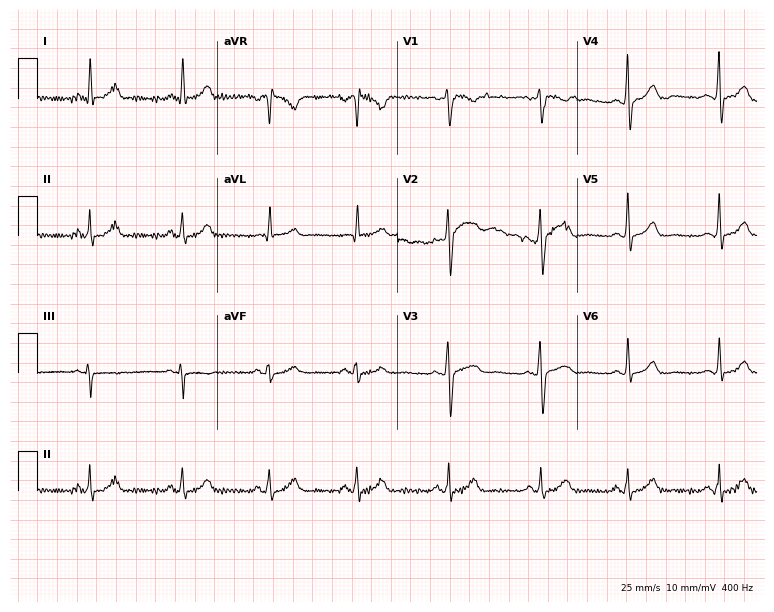
Resting 12-lead electrocardiogram. Patient: a woman, 38 years old. Read as a normal ECG.